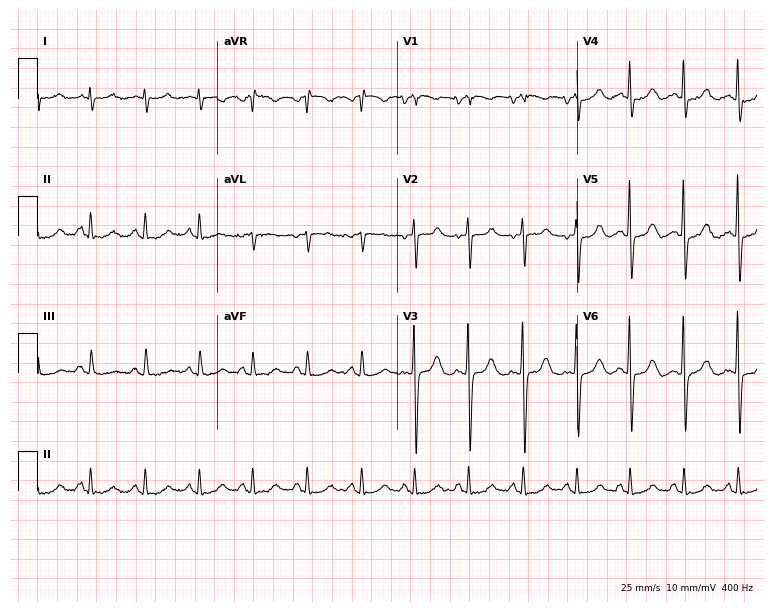
12-lead ECG (7.3-second recording at 400 Hz) from a male, 72 years old. Screened for six findings — first-degree AV block, right bundle branch block (RBBB), left bundle branch block (LBBB), sinus bradycardia, atrial fibrillation (AF), sinus tachycardia — none is recorded.